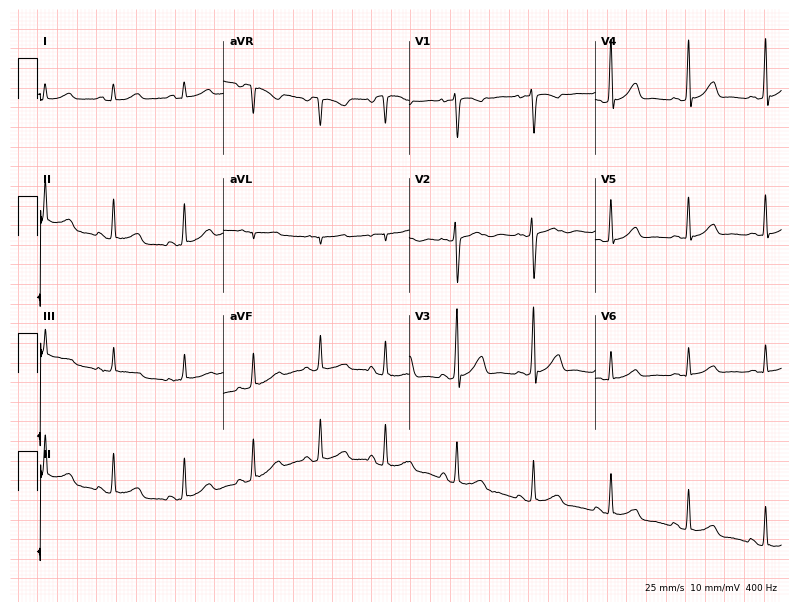
Resting 12-lead electrocardiogram. Patient: an 18-year-old female. Read as a normal ECG.